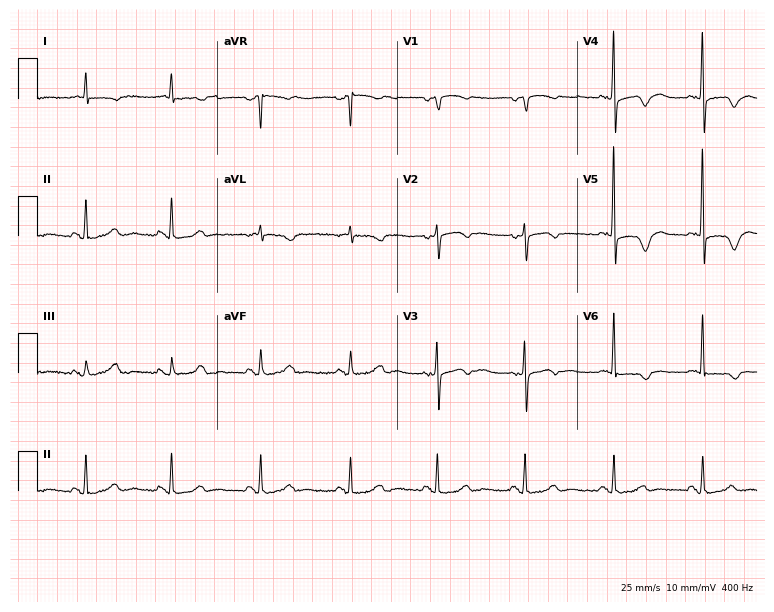
12-lead ECG from an 84-year-old female (7.3-second recording at 400 Hz). No first-degree AV block, right bundle branch block, left bundle branch block, sinus bradycardia, atrial fibrillation or sinus tachycardia recorded for this tracing.